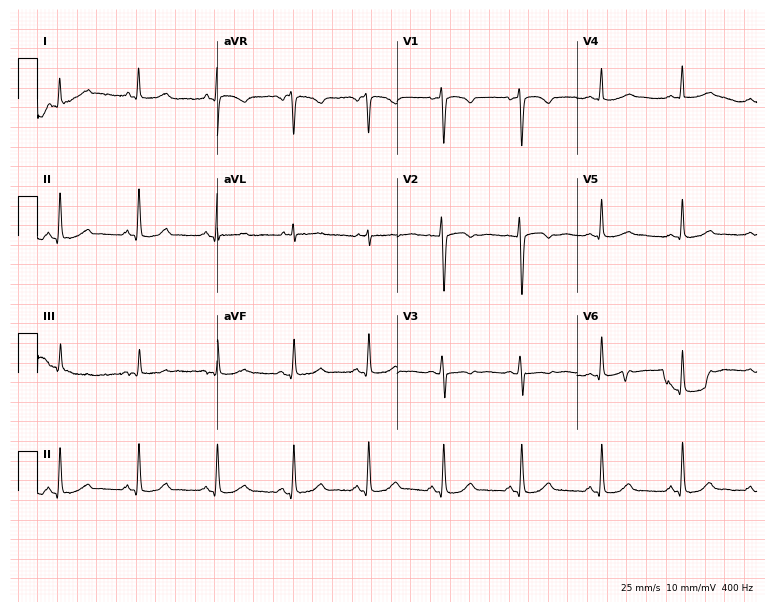
Resting 12-lead electrocardiogram. Patient: a woman, 46 years old. None of these six findings is recorded: first-degree AV block, right bundle branch block, left bundle branch block, sinus bradycardia, atrial fibrillation, sinus tachycardia. Only these six findings were labelled.